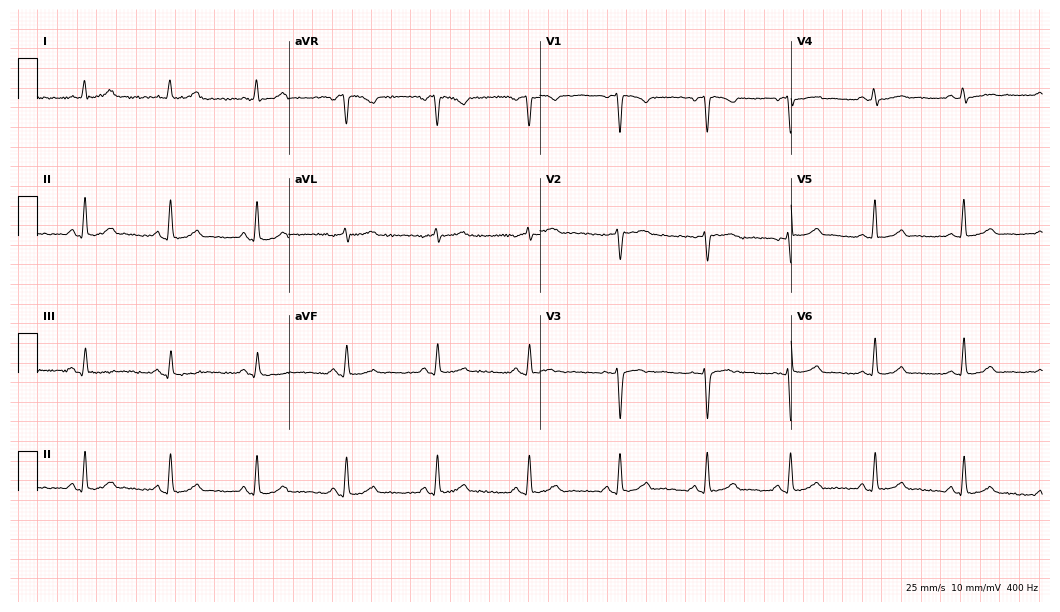
Resting 12-lead electrocardiogram. Patient: a woman, 43 years old. Read as a normal ECG.